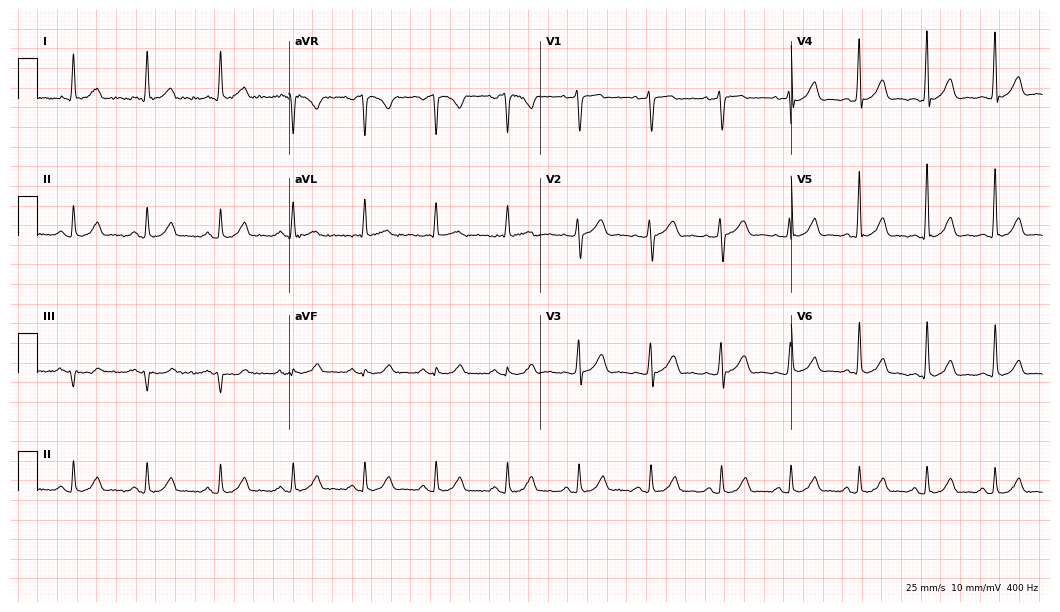
12-lead ECG (10.2-second recording at 400 Hz) from a female, 54 years old. Labelled as a normal ECG.